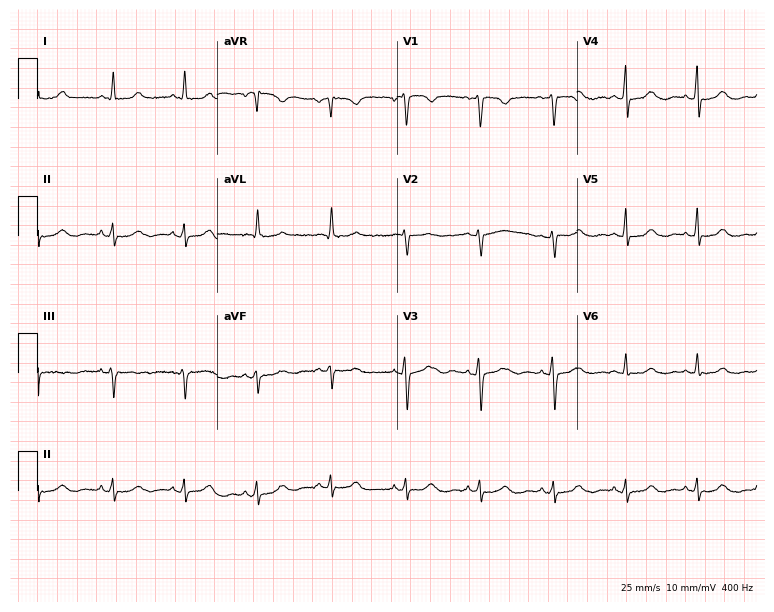
Resting 12-lead electrocardiogram (7.3-second recording at 400 Hz). Patient: a 49-year-old female. None of these six findings is recorded: first-degree AV block, right bundle branch block, left bundle branch block, sinus bradycardia, atrial fibrillation, sinus tachycardia. Other findings, if any, are not listed.